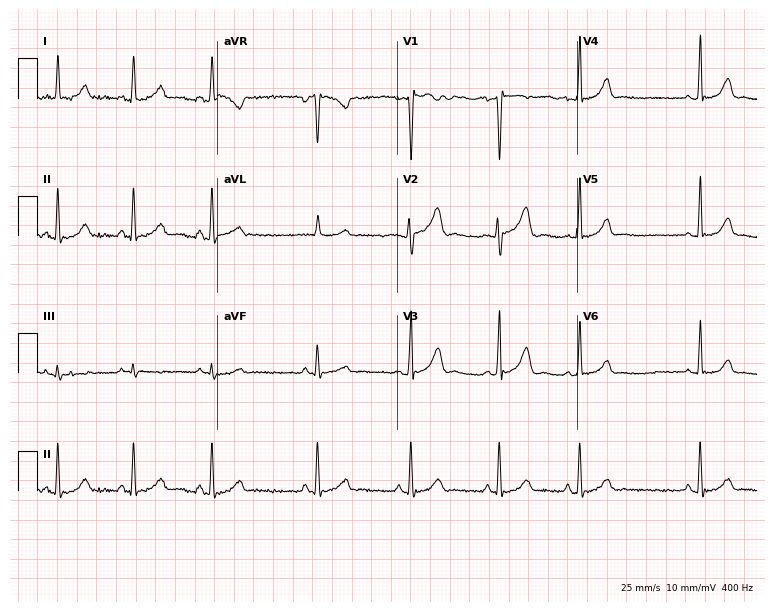
Resting 12-lead electrocardiogram (7.3-second recording at 400 Hz). Patient: a 27-year-old woman. None of these six findings is recorded: first-degree AV block, right bundle branch block (RBBB), left bundle branch block (LBBB), sinus bradycardia, atrial fibrillation (AF), sinus tachycardia. Only these six findings were labelled.